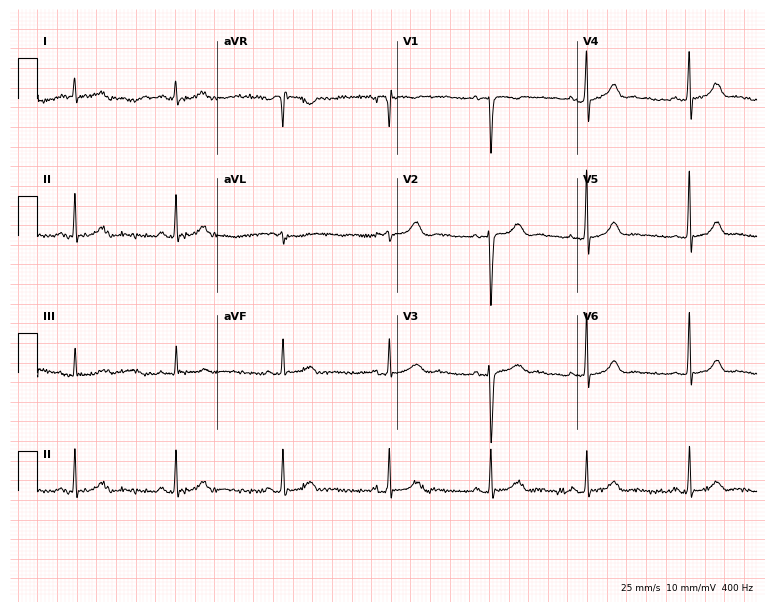
Resting 12-lead electrocardiogram (7.3-second recording at 400 Hz). Patient: a woman, 18 years old. Read as a normal ECG.